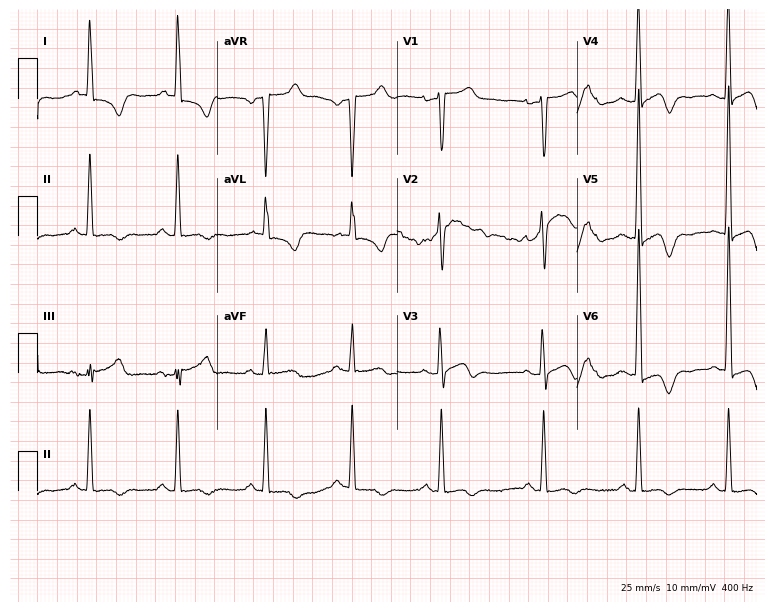
Standard 12-lead ECG recorded from a female patient, 66 years old (7.3-second recording at 400 Hz). None of these six findings is recorded: first-degree AV block, right bundle branch block (RBBB), left bundle branch block (LBBB), sinus bradycardia, atrial fibrillation (AF), sinus tachycardia.